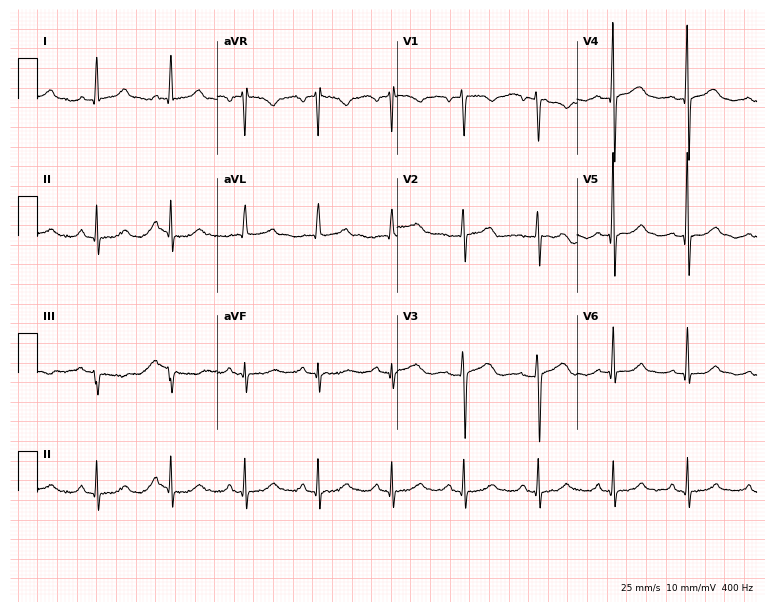
12-lead ECG from a female, 43 years old. Screened for six findings — first-degree AV block, right bundle branch block, left bundle branch block, sinus bradycardia, atrial fibrillation, sinus tachycardia — none is recorded.